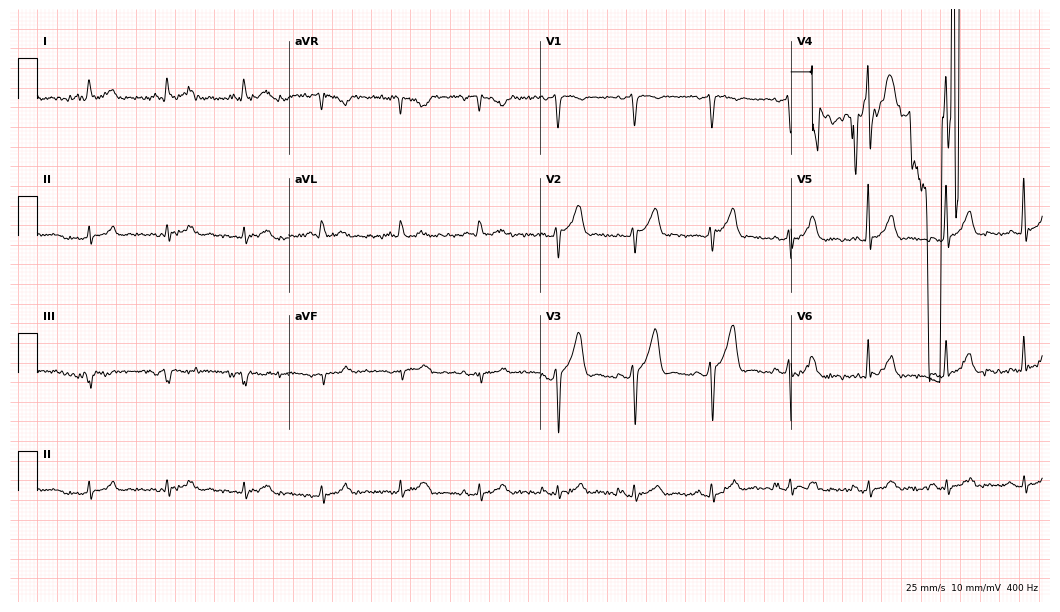
ECG — a 64-year-old male patient. Screened for six findings — first-degree AV block, right bundle branch block (RBBB), left bundle branch block (LBBB), sinus bradycardia, atrial fibrillation (AF), sinus tachycardia — none is recorded.